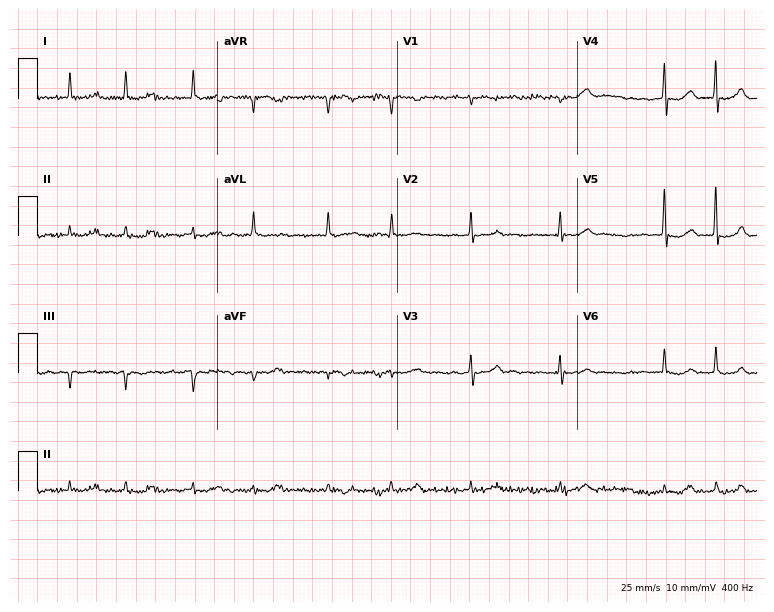
12-lead ECG from an 80-year-old female patient (7.3-second recording at 400 Hz). Shows atrial fibrillation.